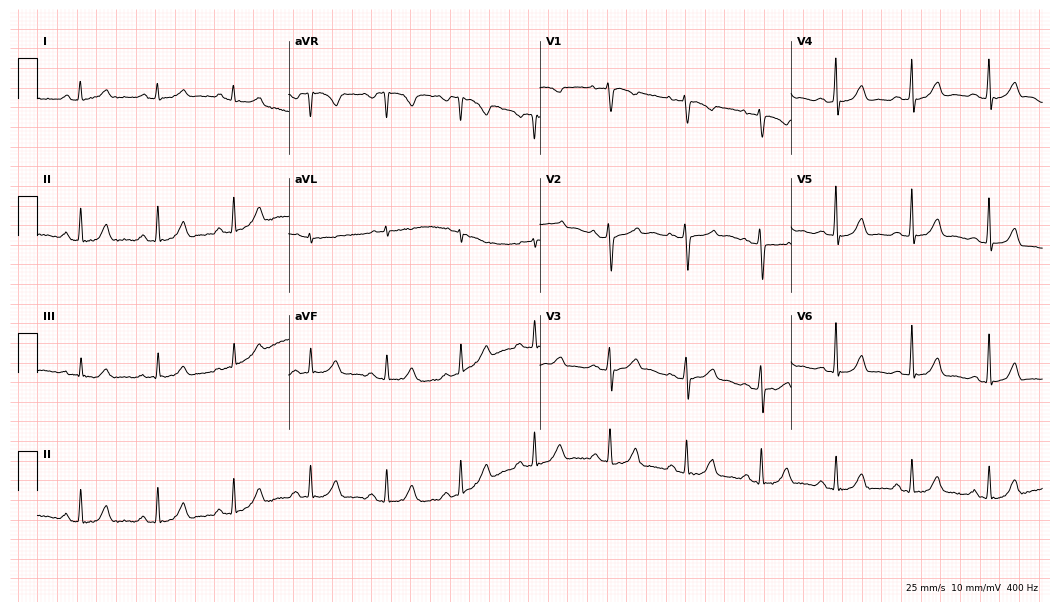
Electrocardiogram (10.2-second recording at 400 Hz), a woman, 33 years old. Overall reading on record: normal ECG.